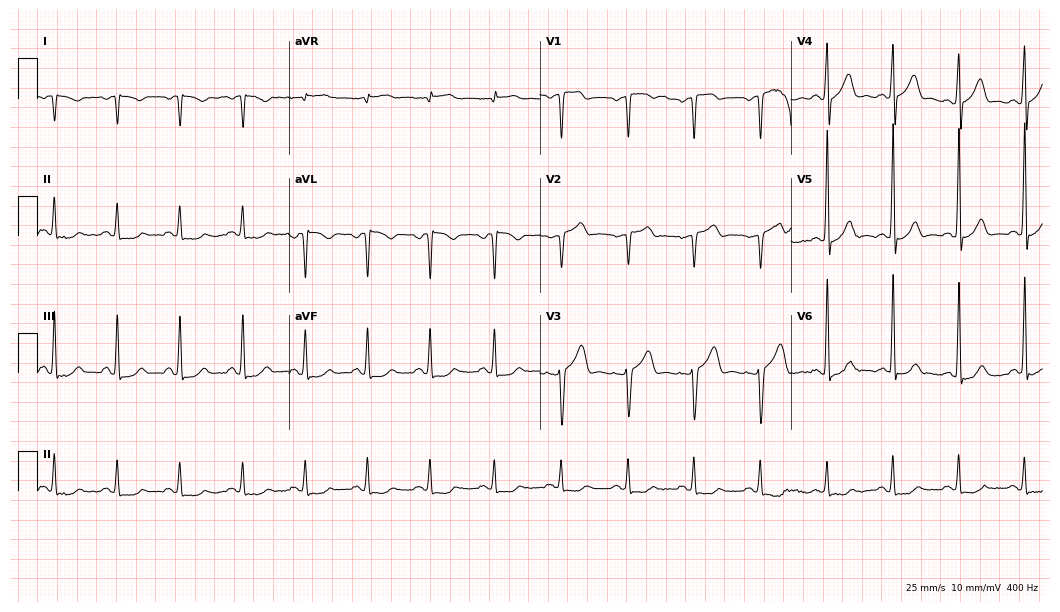
12-lead ECG from a woman, 52 years old. Screened for six findings — first-degree AV block, right bundle branch block, left bundle branch block, sinus bradycardia, atrial fibrillation, sinus tachycardia — none is recorded. Findings outside these six are not listed.